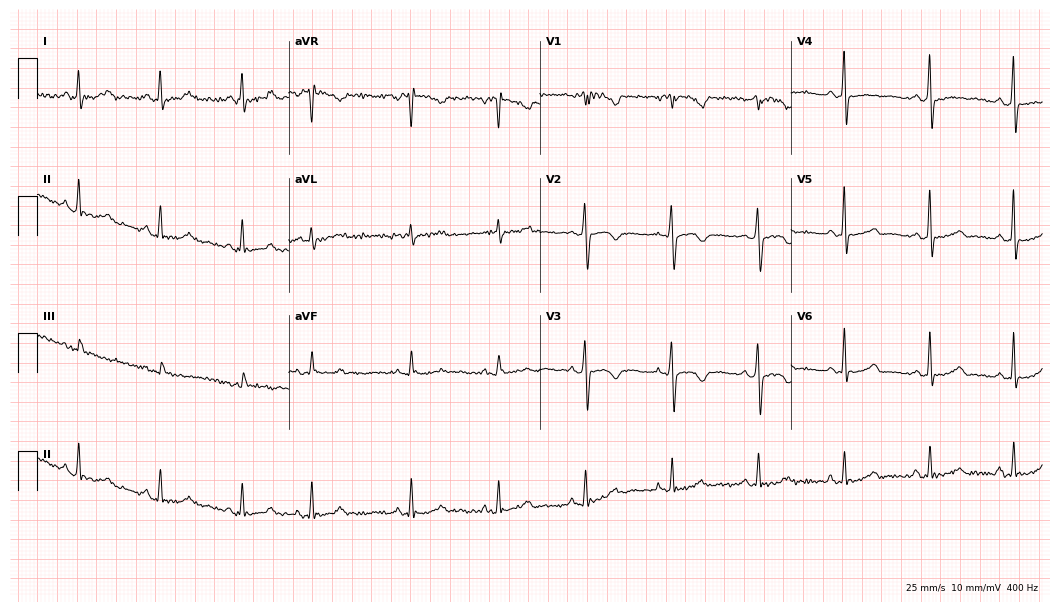
ECG — a 76-year-old female. Screened for six findings — first-degree AV block, right bundle branch block (RBBB), left bundle branch block (LBBB), sinus bradycardia, atrial fibrillation (AF), sinus tachycardia — none is recorded. Findings outside these six are not listed.